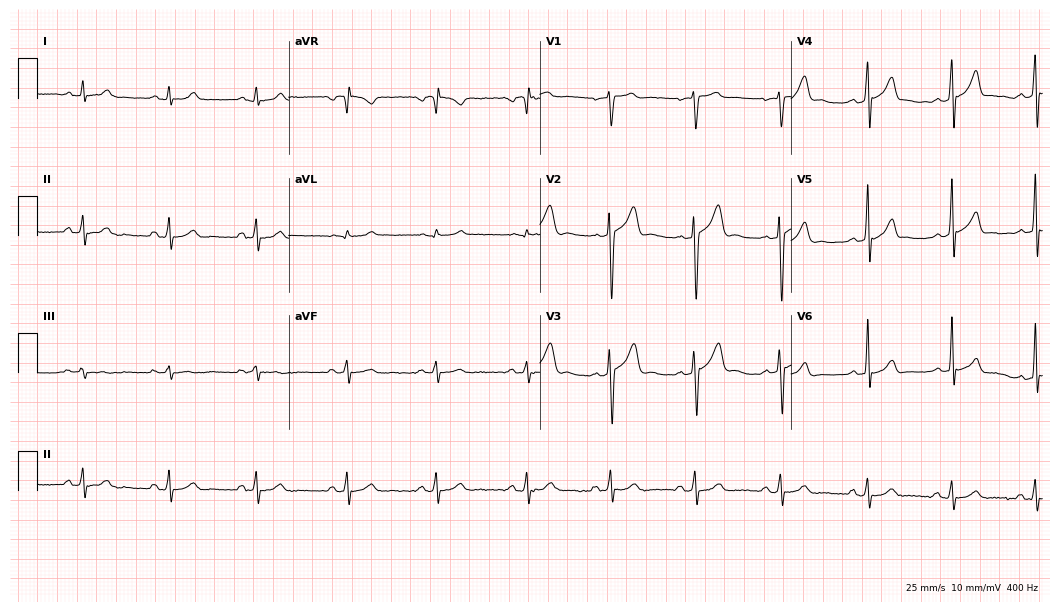
ECG (10.2-second recording at 400 Hz) — a 31-year-old man. Labelled as a normal ECG.